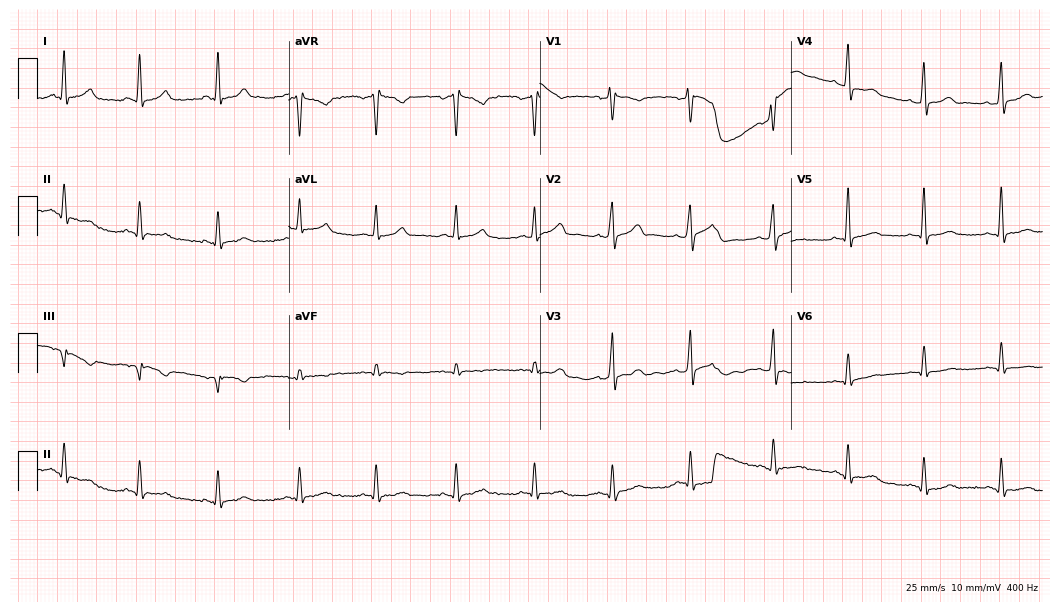
Electrocardiogram (10.2-second recording at 400 Hz), a 38-year-old male. Overall reading on record: normal ECG.